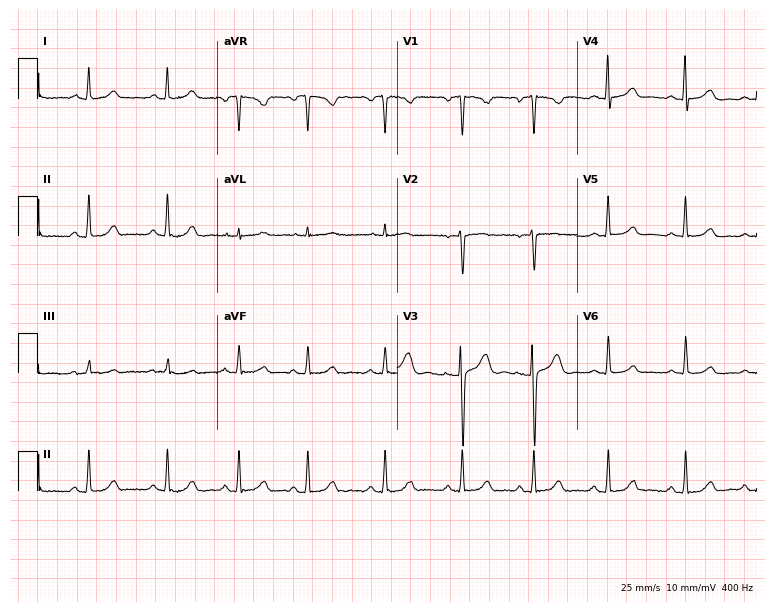
ECG — a female, 26 years old. Labelled as a normal ECG.